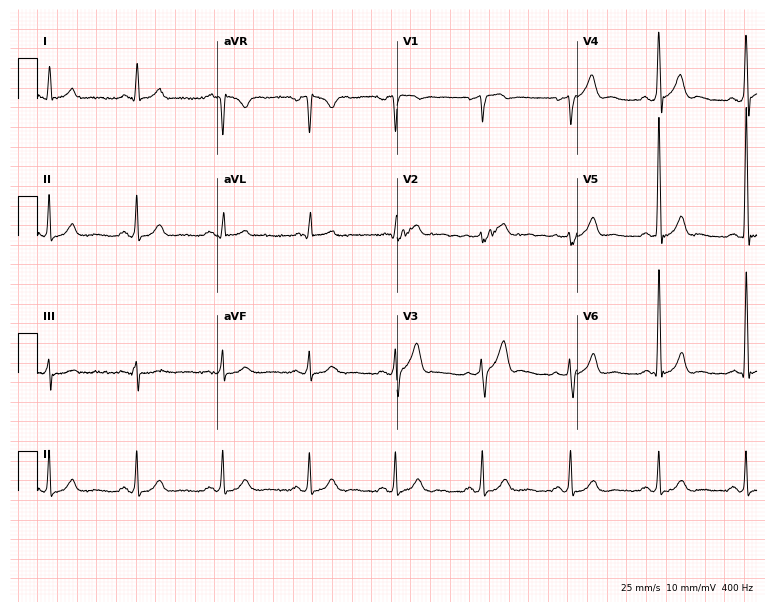
12-lead ECG from a man, 51 years old. No first-degree AV block, right bundle branch block, left bundle branch block, sinus bradycardia, atrial fibrillation or sinus tachycardia recorded for this tracing.